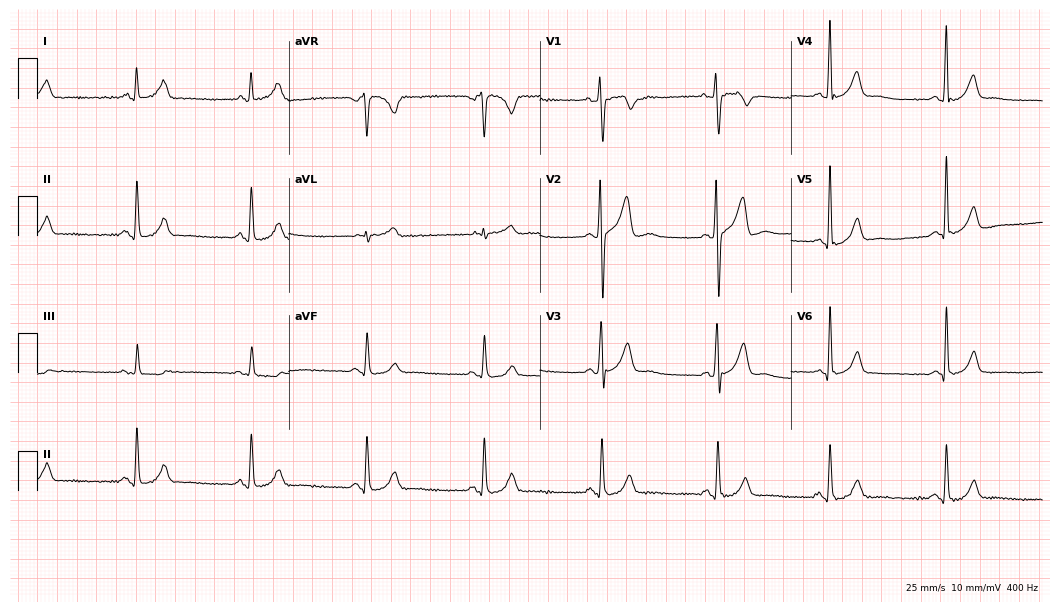
Electrocardiogram (10.2-second recording at 400 Hz), a 26-year-old male. Overall reading on record: normal ECG.